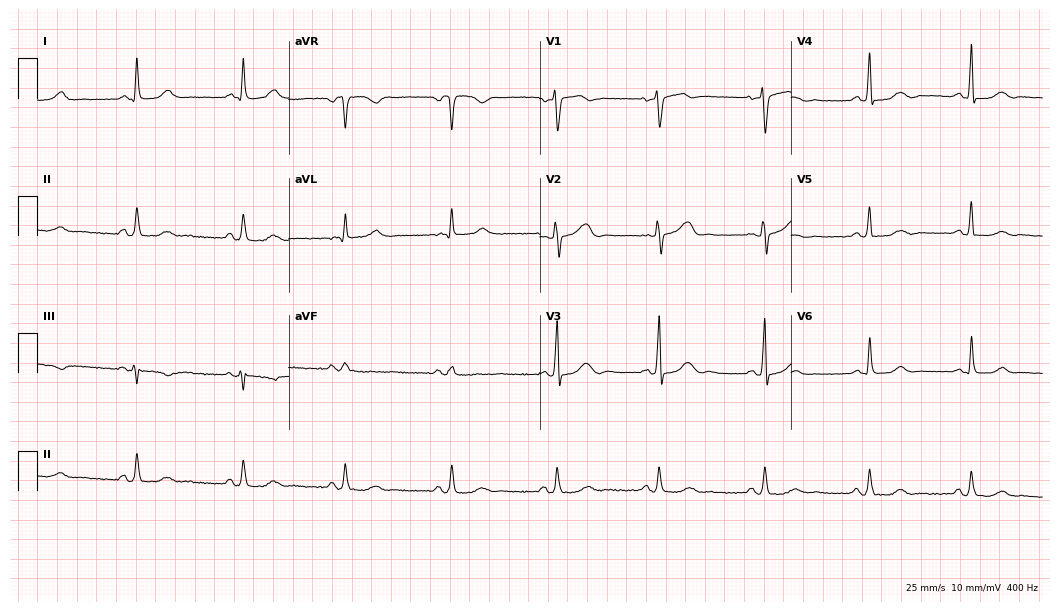
12-lead ECG from a 66-year-old woman. Screened for six findings — first-degree AV block, right bundle branch block, left bundle branch block, sinus bradycardia, atrial fibrillation, sinus tachycardia — none is recorded. Only these six findings were labelled.